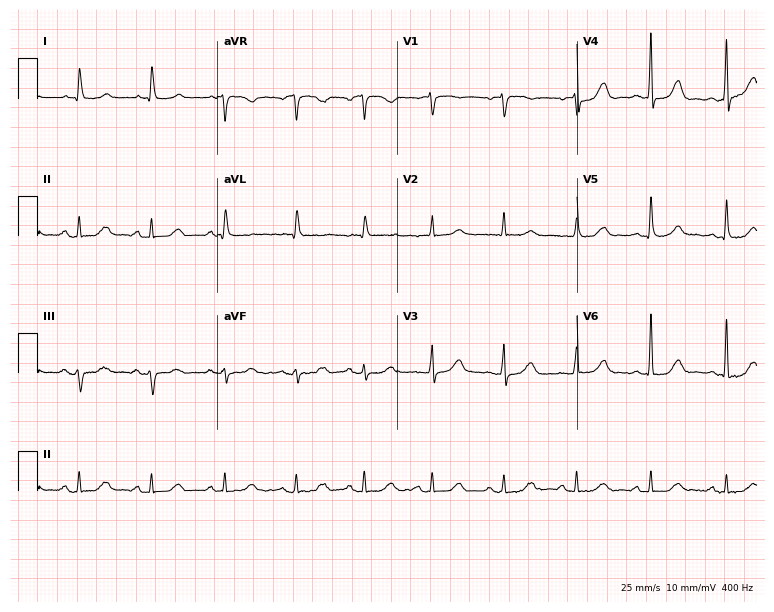
Electrocardiogram, a 69-year-old woman. Overall reading on record: normal ECG.